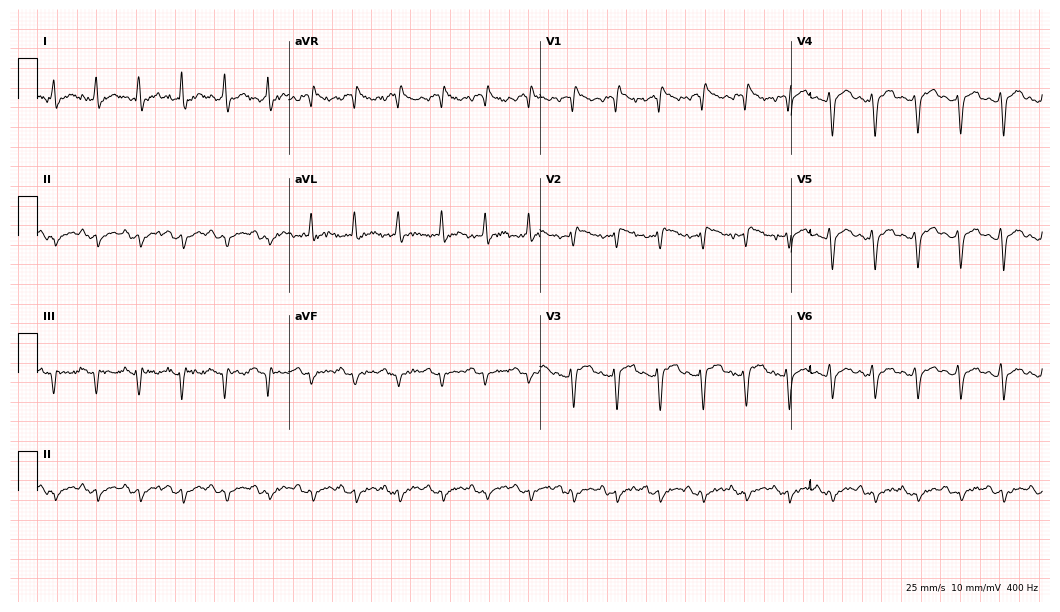
Standard 12-lead ECG recorded from a male patient, 51 years old. The tracing shows sinus tachycardia (a sinus rate of 100 beats per minute or more).